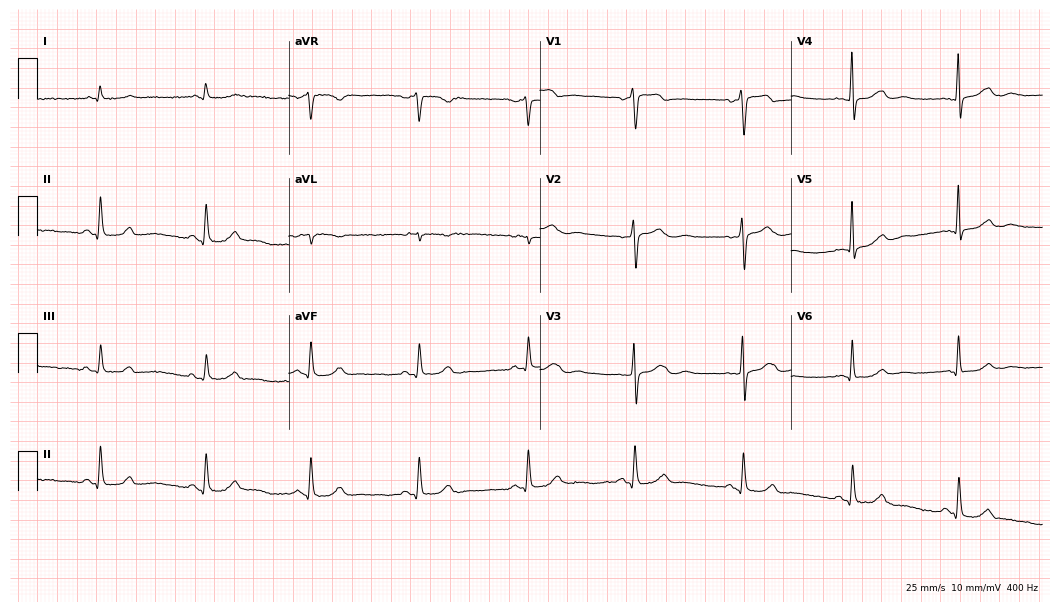
Standard 12-lead ECG recorded from a male patient, 54 years old. Read as a normal ECG.